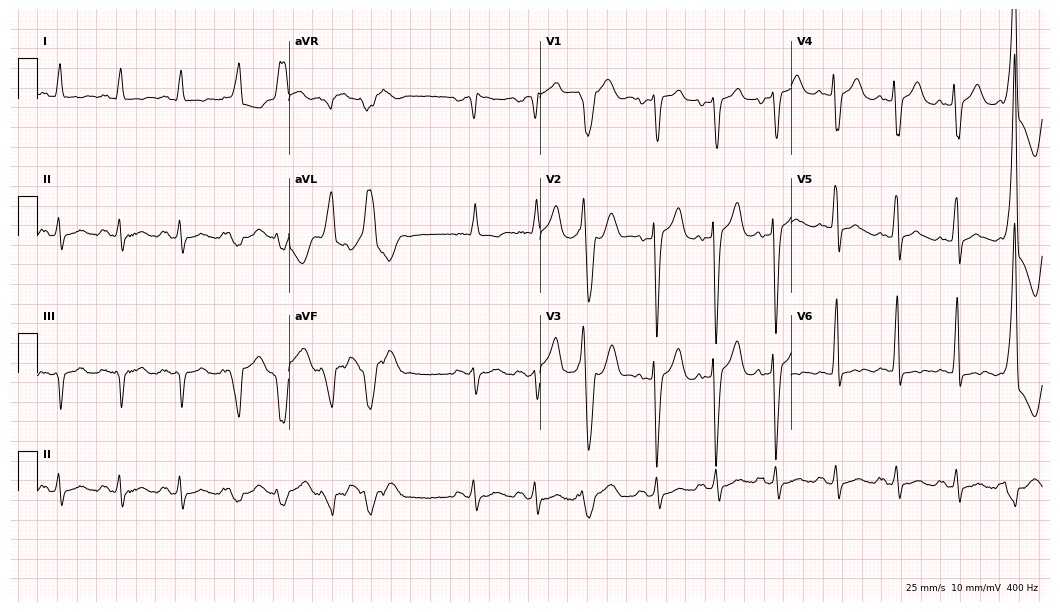
Resting 12-lead electrocardiogram. Patient: a 71-year-old male. None of these six findings is recorded: first-degree AV block, right bundle branch block (RBBB), left bundle branch block (LBBB), sinus bradycardia, atrial fibrillation (AF), sinus tachycardia.